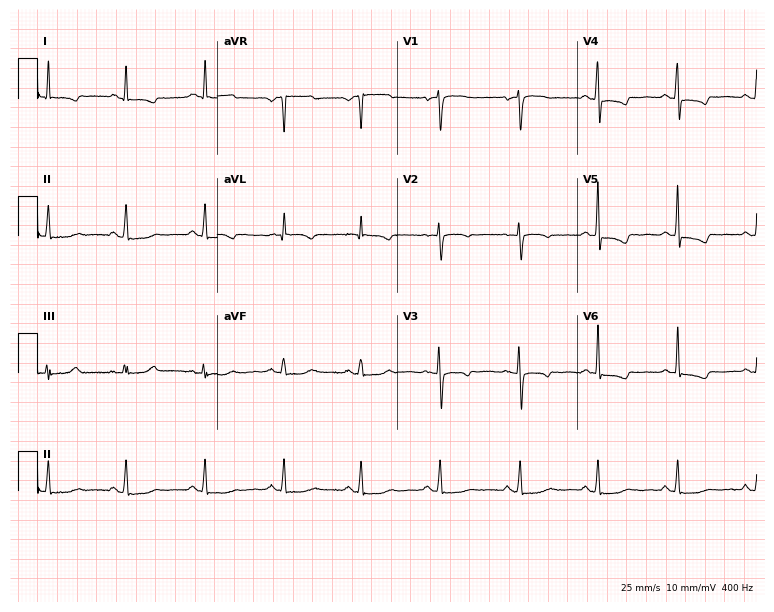
Resting 12-lead electrocardiogram. Patient: a 58-year-old woman. None of these six findings is recorded: first-degree AV block, right bundle branch block, left bundle branch block, sinus bradycardia, atrial fibrillation, sinus tachycardia. Other findings, if any, are not listed.